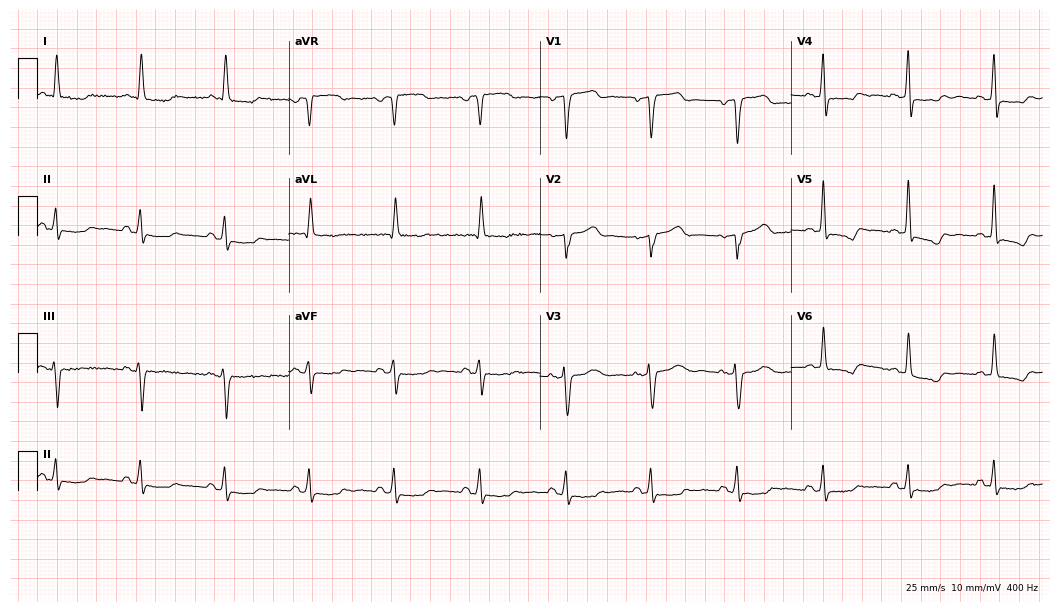
12-lead ECG from a 75-year-old woman (10.2-second recording at 400 Hz). No first-degree AV block, right bundle branch block, left bundle branch block, sinus bradycardia, atrial fibrillation or sinus tachycardia recorded for this tracing. Only these six findings were labelled.